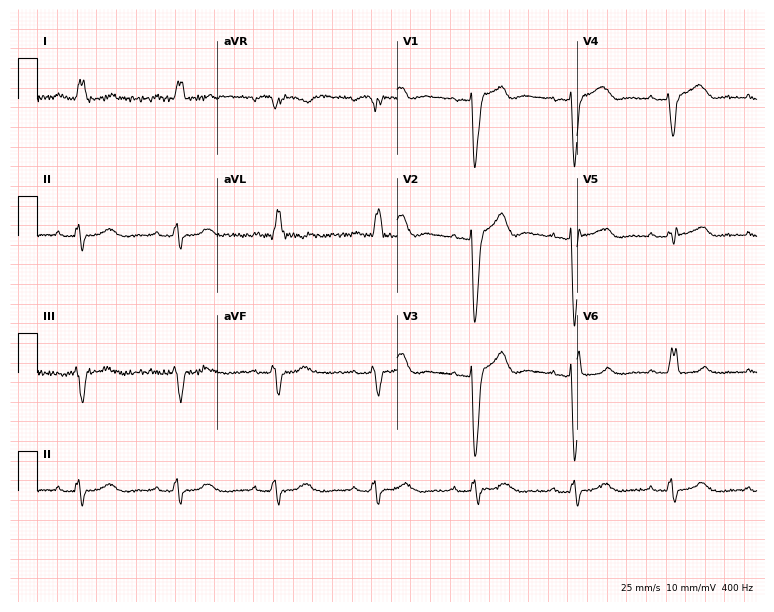
12-lead ECG from a 76-year-old woman (7.3-second recording at 400 Hz). Shows left bundle branch block.